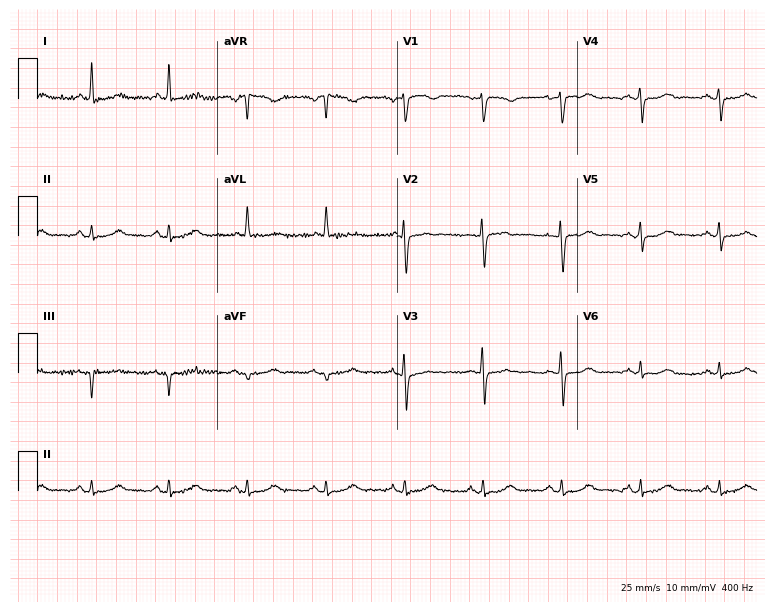
ECG — a female patient, 67 years old. Labelled as a normal ECG.